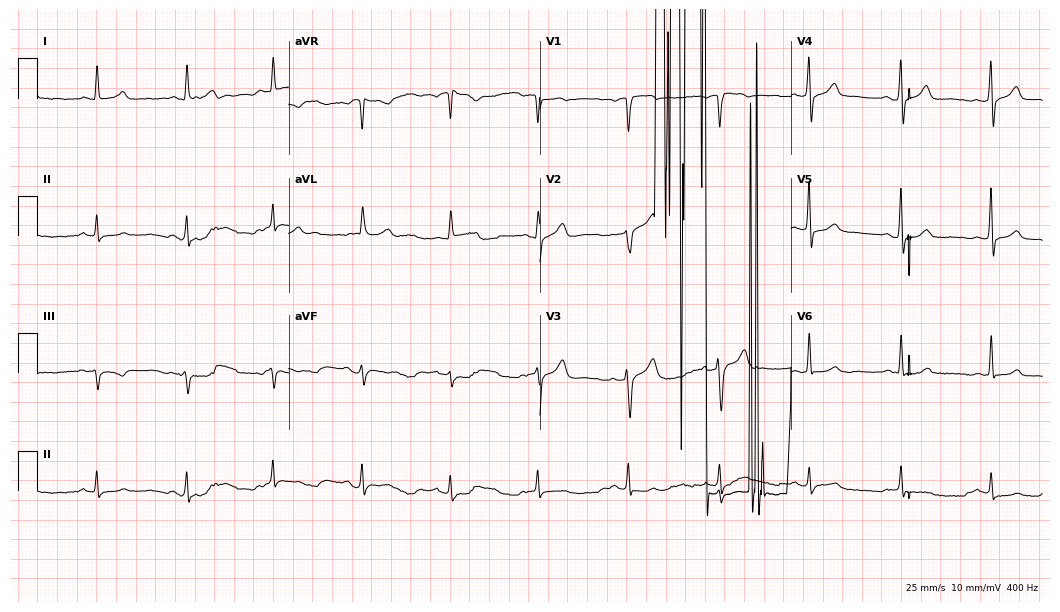
ECG (10.2-second recording at 400 Hz) — a 55-year-old male. Findings include sinus tachycardia (a sinus rate of 100 beats per minute or more).